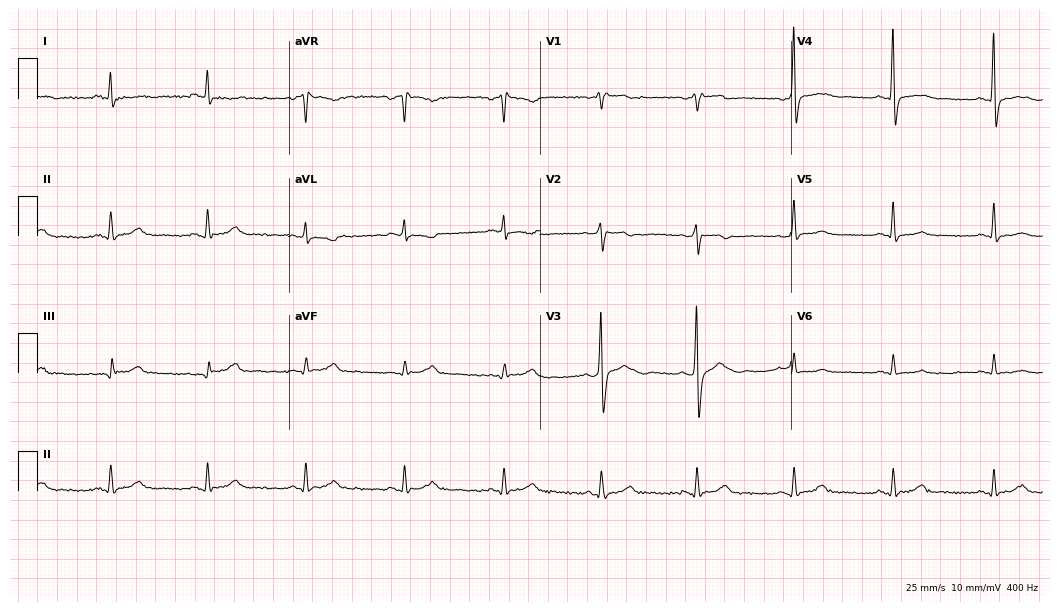
12-lead ECG from a male, 63 years old. No first-degree AV block, right bundle branch block, left bundle branch block, sinus bradycardia, atrial fibrillation or sinus tachycardia recorded for this tracing.